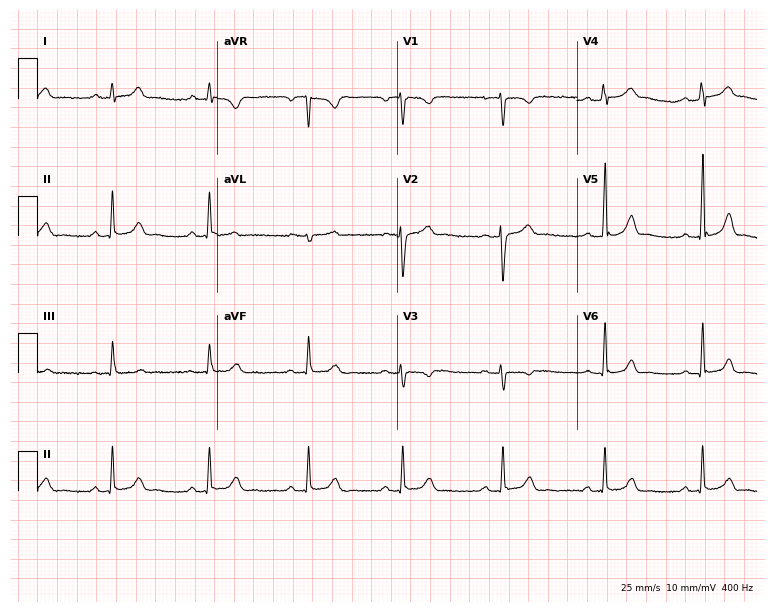
ECG (7.3-second recording at 400 Hz) — a female, 23 years old. Screened for six findings — first-degree AV block, right bundle branch block (RBBB), left bundle branch block (LBBB), sinus bradycardia, atrial fibrillation (AF), sinus tachycardia — none is recorded.